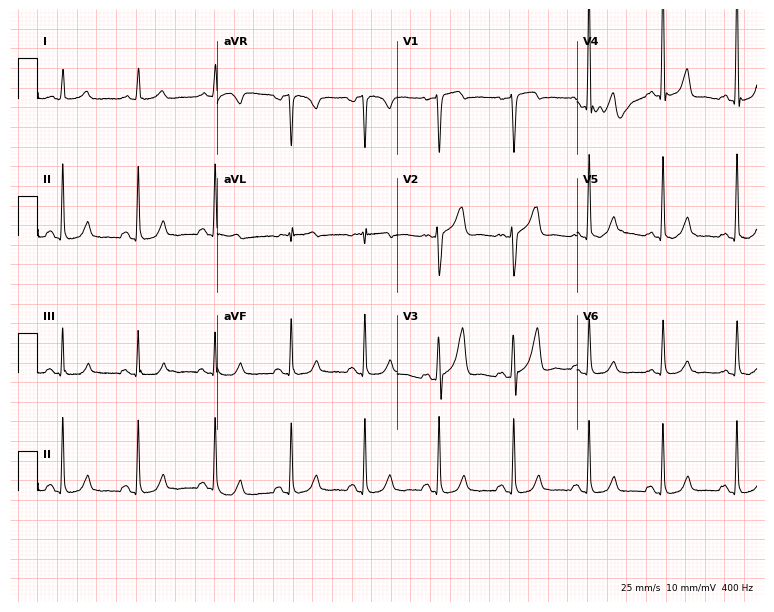
12-lead ECG (7.3-second recording at 400 Hz) from a woman, 53 years old. Screened for six findings — first-degree AV block, right bundle branch block (RBBB), left bundle branch block (LBBB), sinus bradycardia, atrial fibrillation (AF), sinus tachycardia — none is recorded.